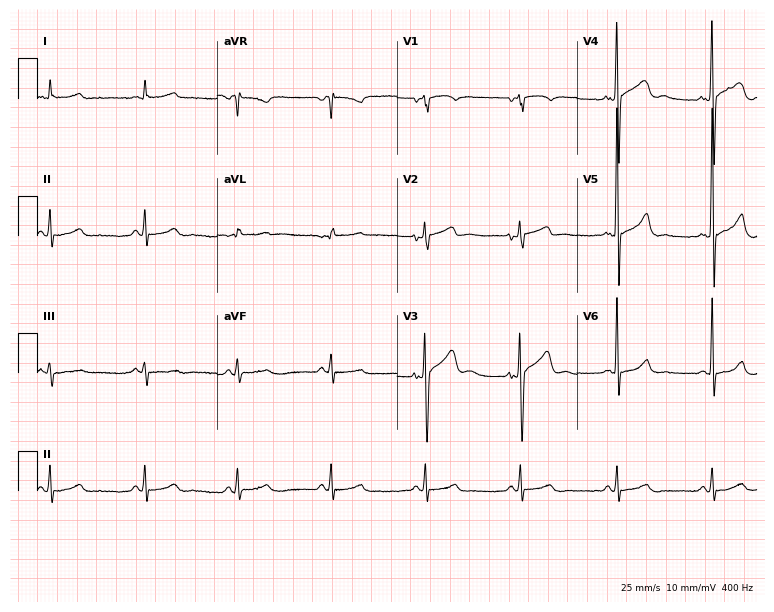
Standard 12-lead ECG recorded from a man, 55 years old (7.3-second recording at 400 Hz). None of these six findings is recorded: first-degree AV block, right bundle branch block, left bundle branch block, sinus bradycardia, atrial fibrillation, sinus tachycardia. Only these six findings were labelled.